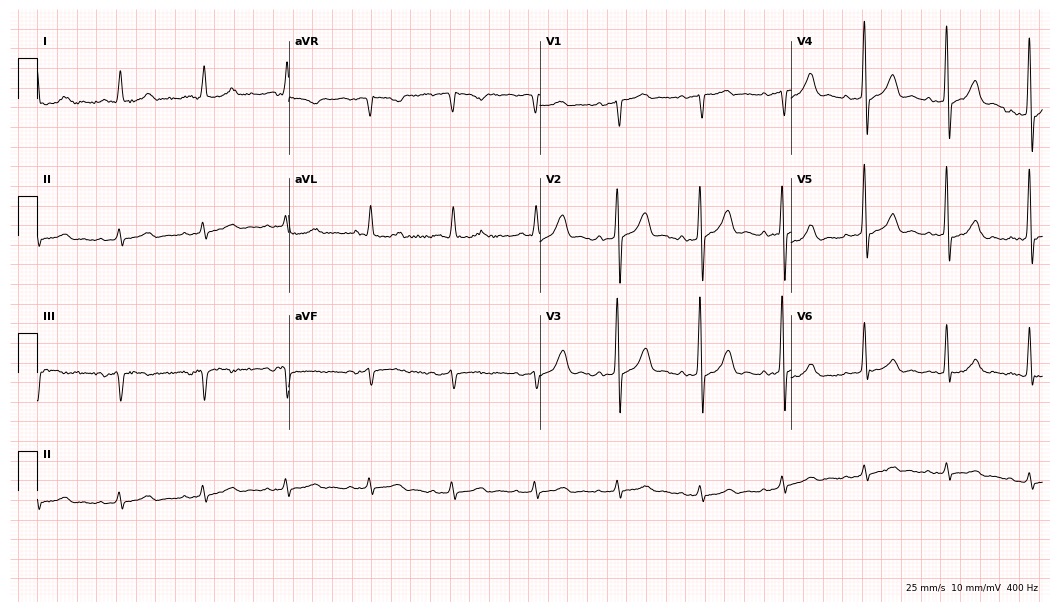
ECG — a male, 73 years old. Labelled as a normal ECG.